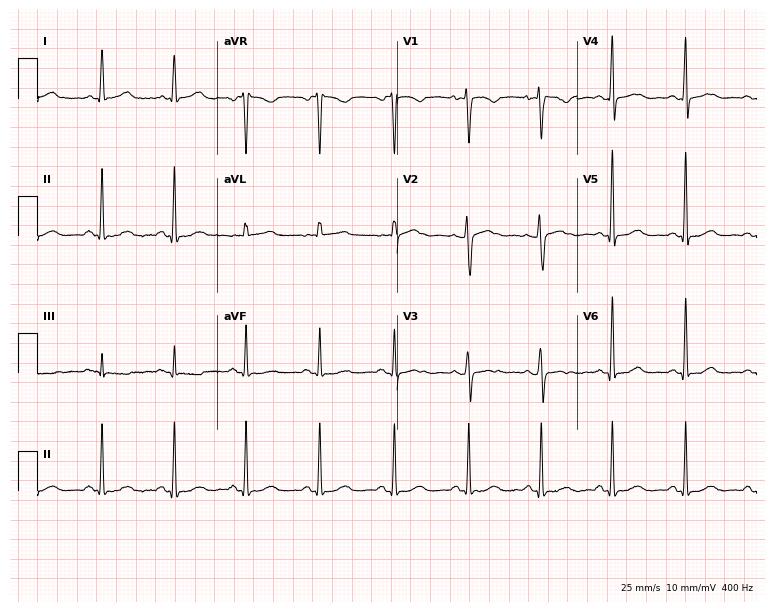
Standard 12-lead ECG recorded from a female patient, 46 years old. Read as a normal ECG.